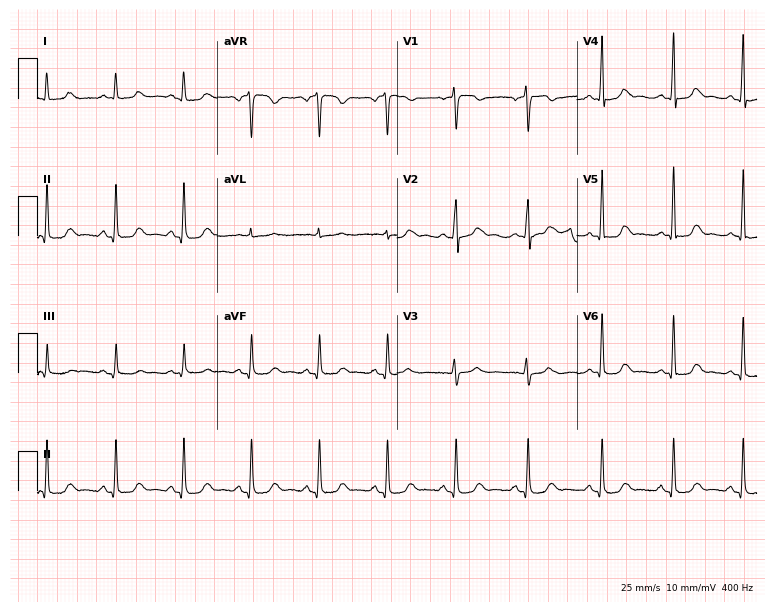
Standard 12-lead ECG recorded from a female patient, 36 years old. Read as a normal ECG.